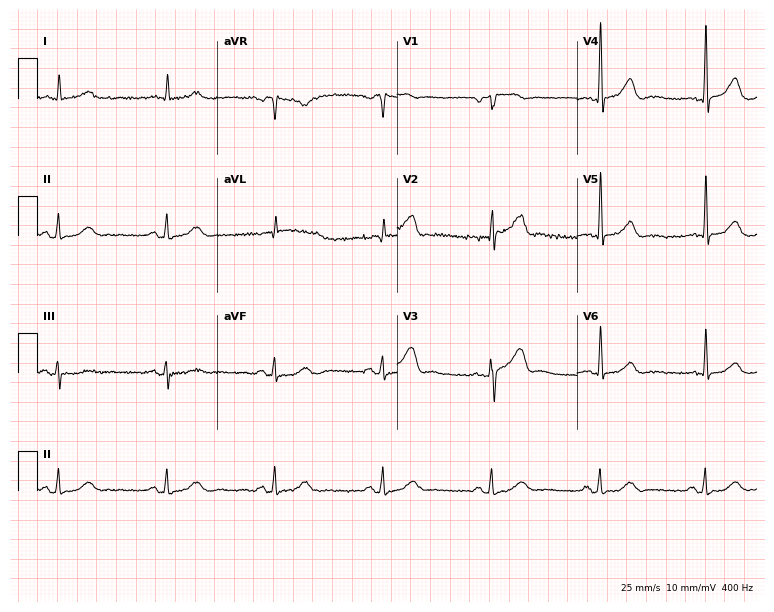
Electrocardiogram (7.3-second recording at 400 Hz), a male, 76 years old. Overall reading on record: normal ECG.